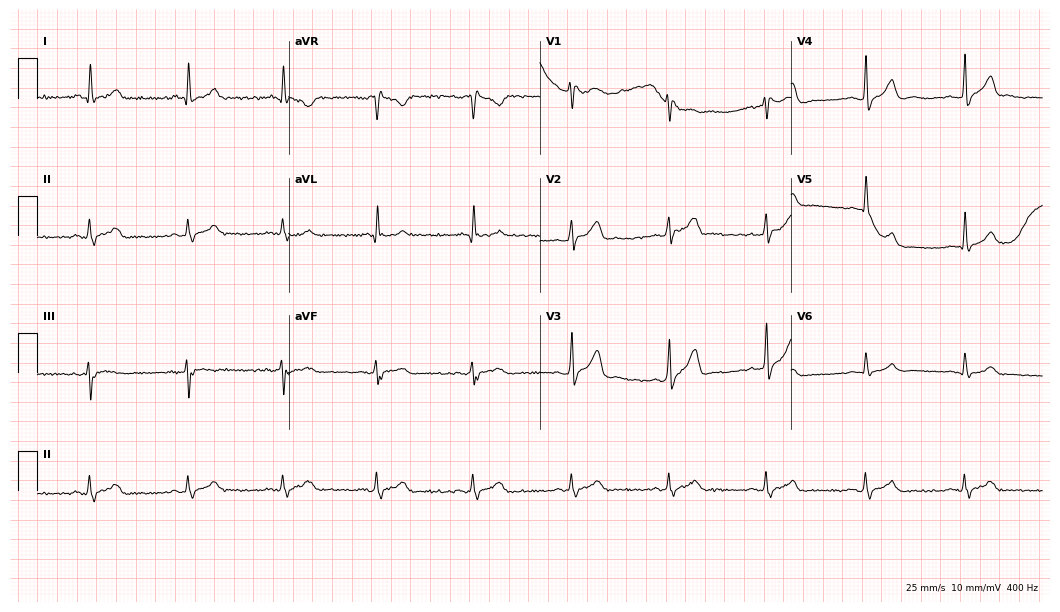
Electrocardiogram (10.2-second recording at 400 Hz), a 52-year-old male. Overall reading on record: normal ECG.